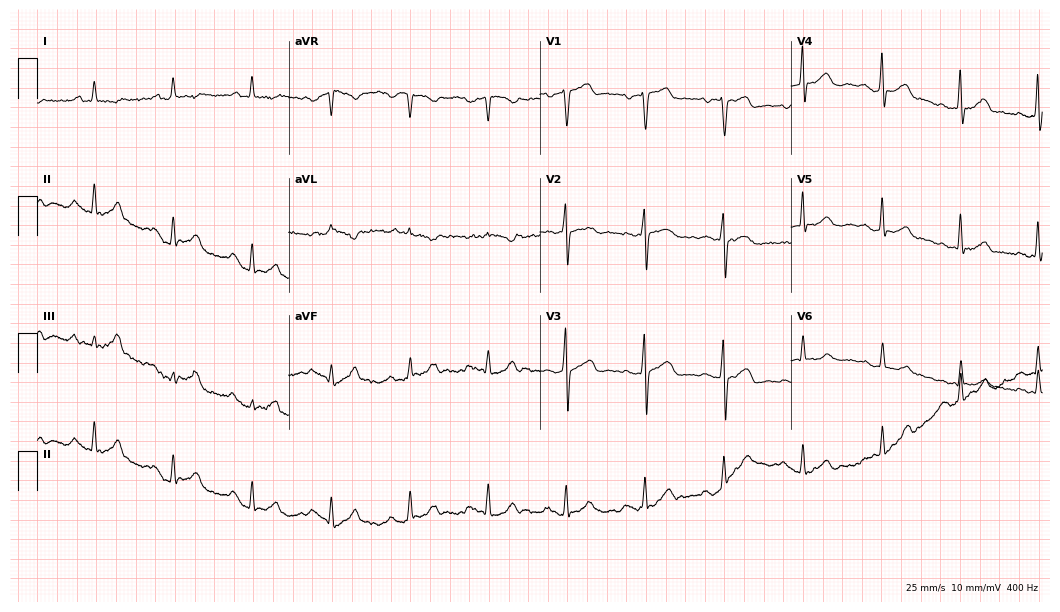
Resting 12-lead electrocardiogram (10.2-second recording at 400 Hz). Patient: a male, 49 years old. None of these six findings is recorded: first-degree AV block, right bundle branch block, left bundle branch block, sinus bradycardia, atrial fibrillation, sinus tachycardia. Other findings, if any, are not listed.